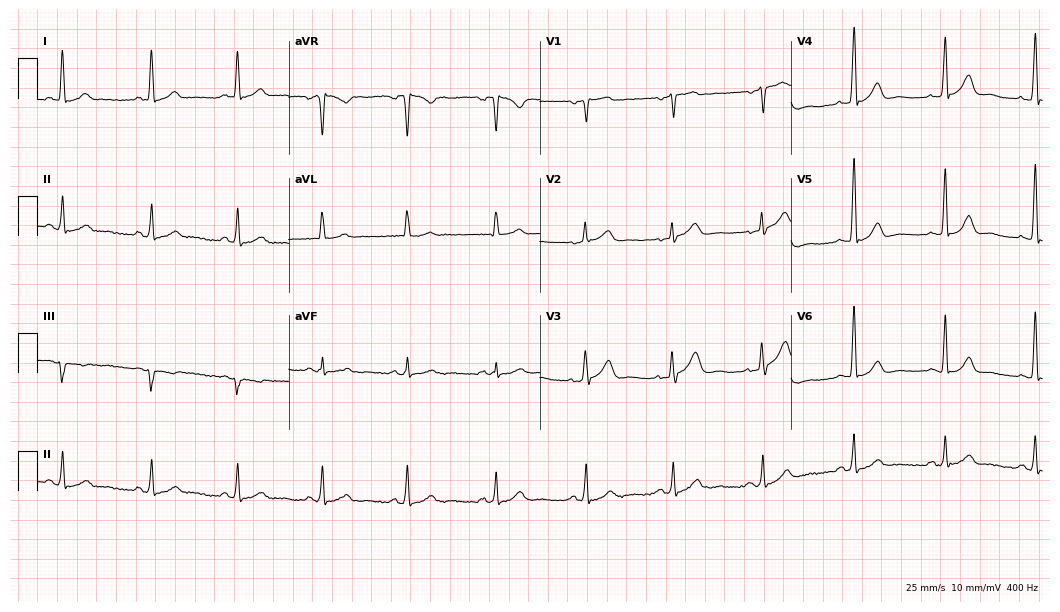
Electrocardiogram (10.2-second recording at 400 Hz), a 51-year-old woman. Of the six screened findings (first-degree AV block, right bundle branch block (RBBB), left bundle branch block (LBBB), sinus bradycardia, atrial fibrillation (AF), sinus tachycardia), none is recorded. Findings outside these six are not listed.